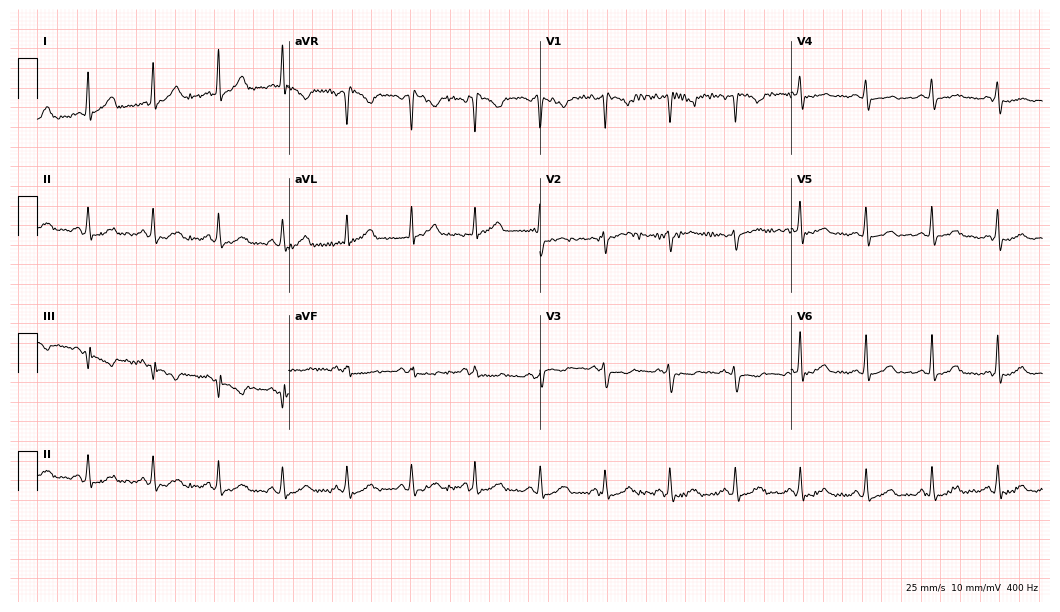
12-lead ECG (10.2-second recording at 400 Hz) from a 29-year-old female patient. Labelled as a normal ECG.